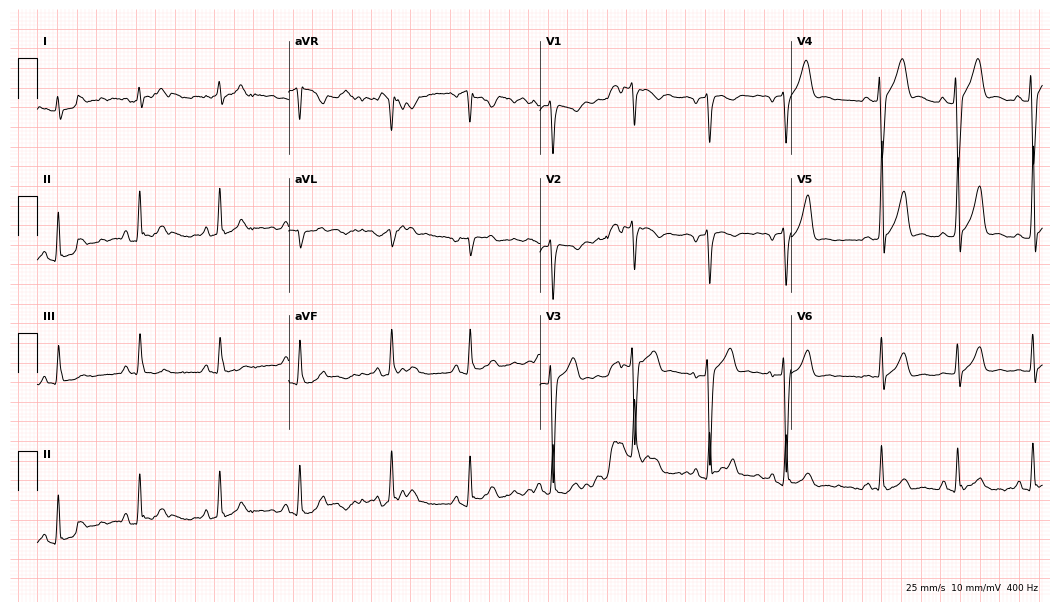
Resting 12-lead electrocardiogram (10.2-second recording at 400 Hz). Patient: a 19-year-old man. Read as a normal ECG.